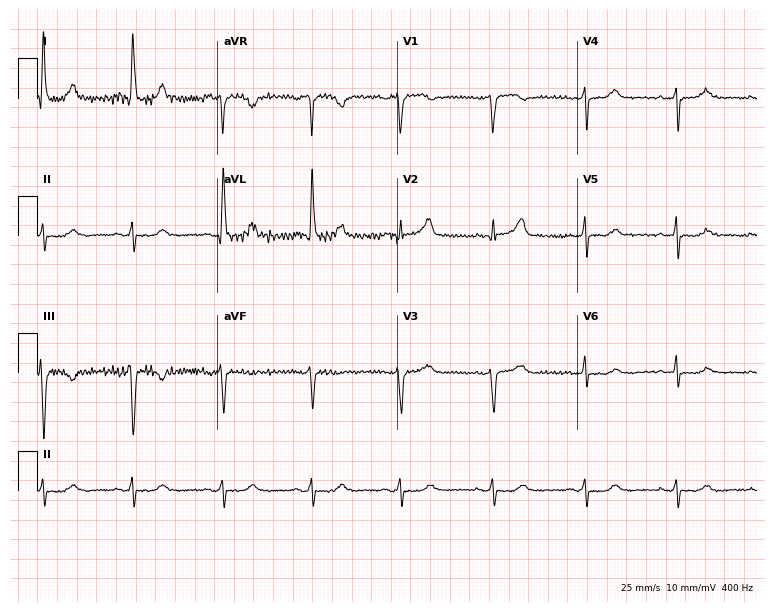
12-lead ECG (7.3-second recording at 400 Hz) from a 72-year-old woman. Screened for six findings — first-degree AV block, right bundle branch block, left bundle branch block, sinus bradycardia, atrial fibrillation, sinus tachycardia — none is recorded.